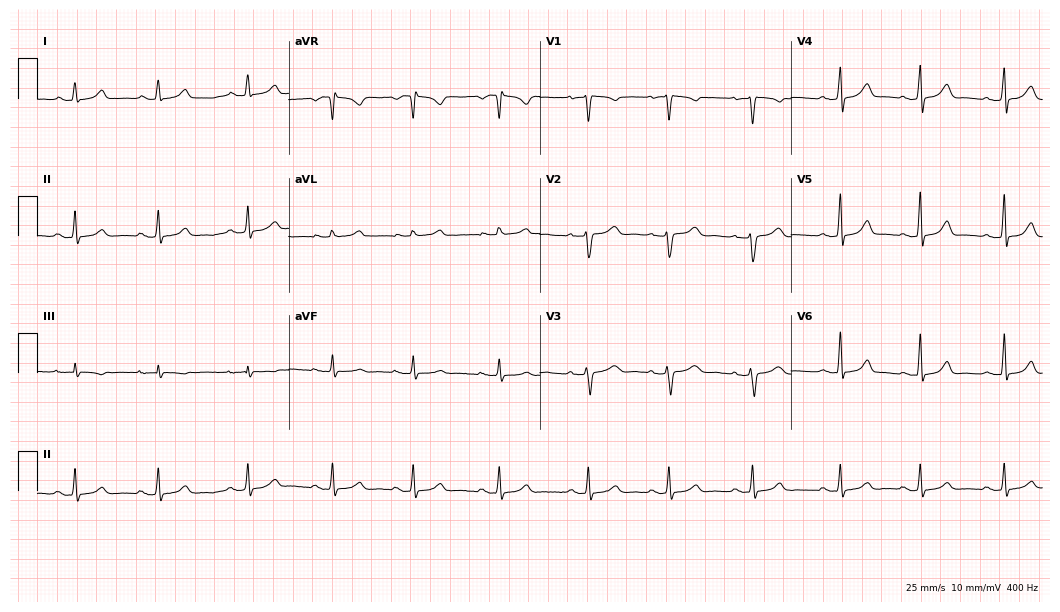
12-lead ECG from a female, 31 years old. Labelled as a normal ECG.